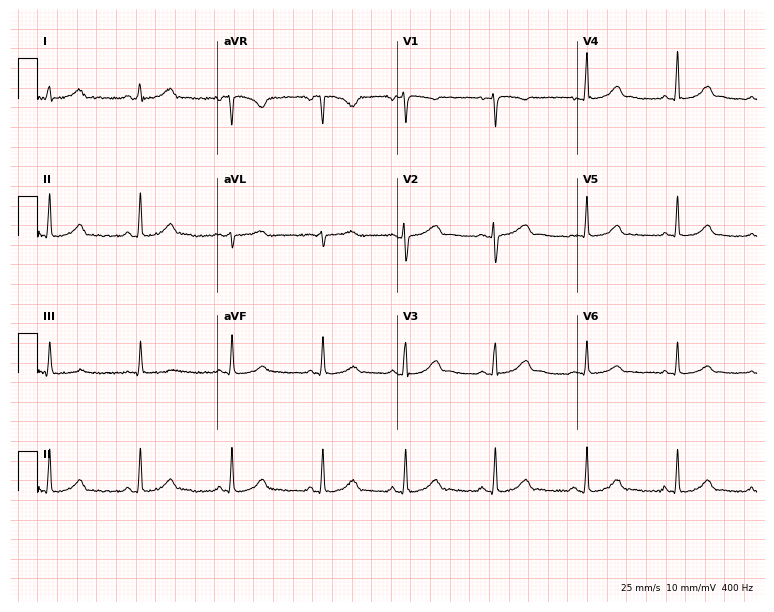
12-lead ECG from a 37-year-old woman. Recorded interpretation: within normal limits.